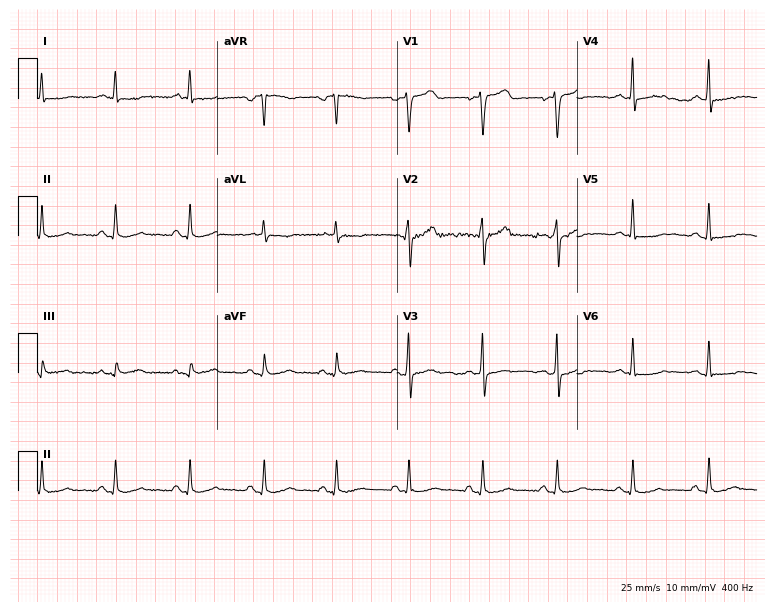
Standard 12-lead ECG recorded from a male, 47 years old (7.3-second recording at 400 Hz). None of these six findings is recorded: first-degree AV block, right bundle branch block (RBBB), left bundle branch block (LBBB), sinus bradycardia, atrial fibrillation (AF), sinus tachycardia.